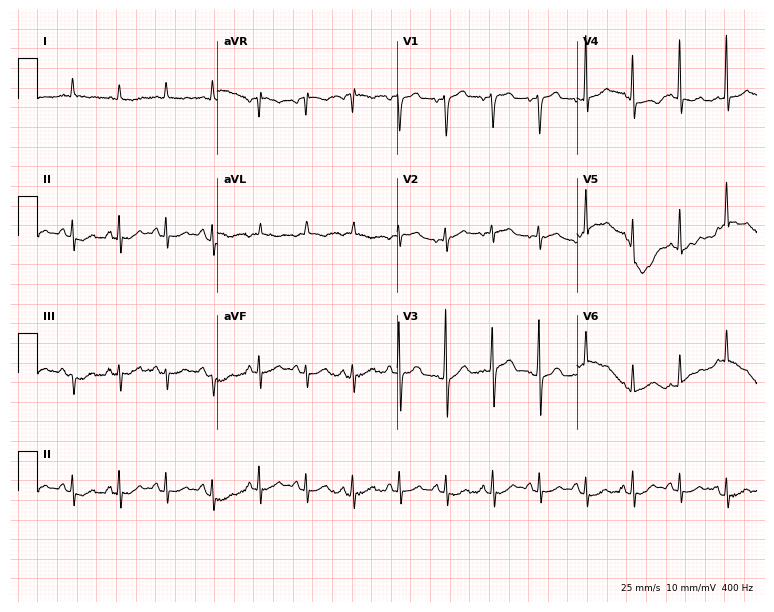
Resting 12-lead electrocardiogram (7.3-second recording at 400 Hz). Patient: a male, 69 years old. The tracing shows sinus tachycardia (a sinus rate of 100 beats per minute or more).